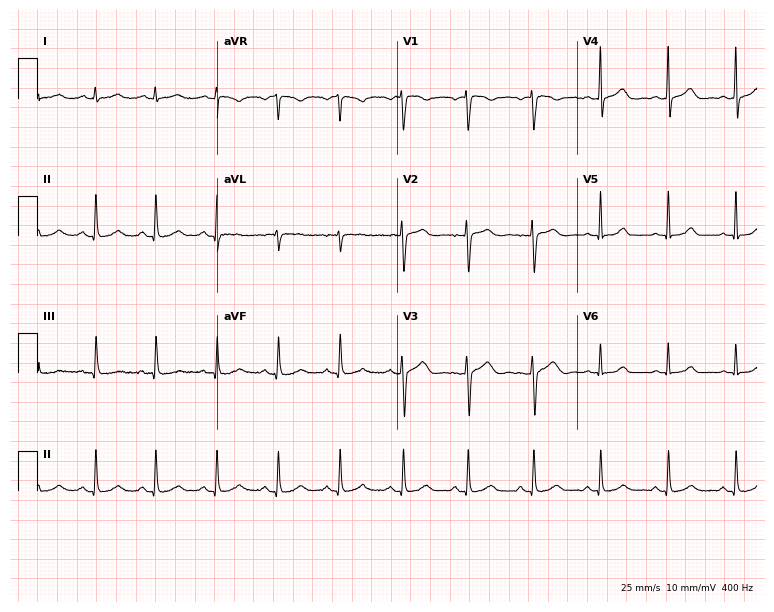
ECG (7.3-second recording at 400 Hz) — a woman, 33 years old. Labelled as a normal ECG.